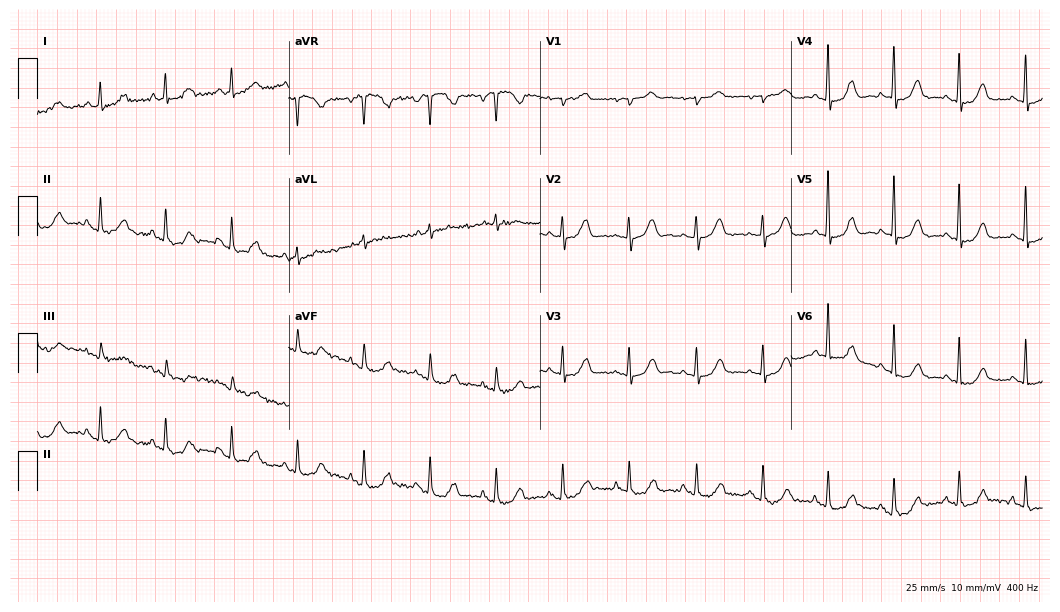
Electrocardiogram (10.2-second recording at 400 Hz), a female, 82 years old. Overall reading on record: normal ECG.